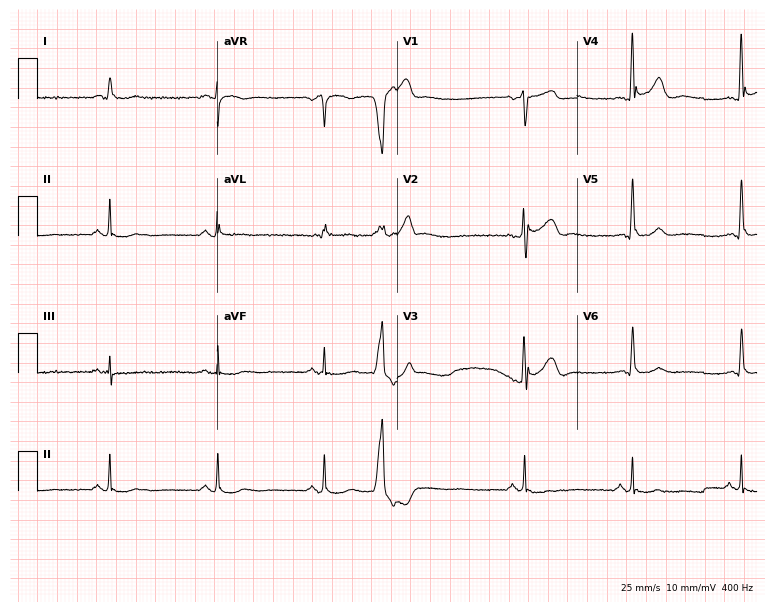
Standard 12-lead ECG recorded from a 63-year-old male patient (7.3-second recording at 400 Hz). None of these six findings is recorded: first-degree AV block, right bundle branch block, left bundle branch block, sinus bradycardia, atrial fibrillation, sinus tachycardia. Only these six findings were labelled.